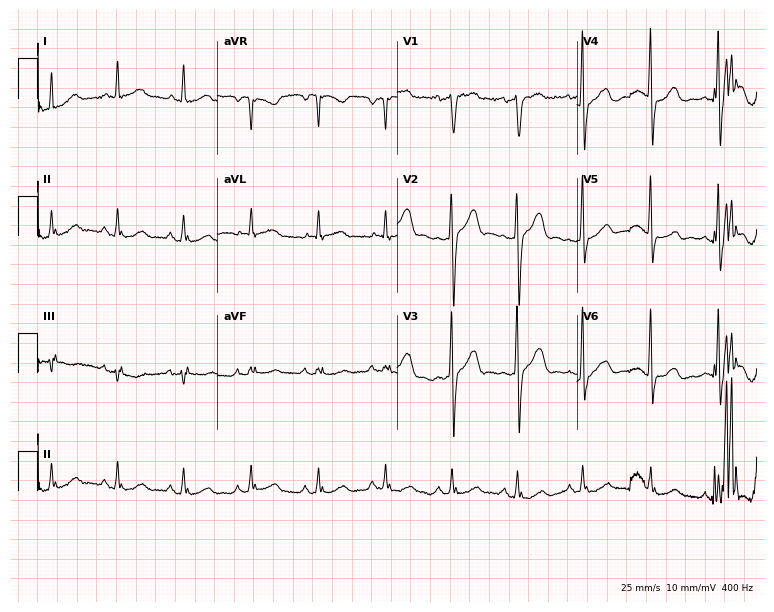
Standard 12-lead ECG recorded from a male, 68 years old. None of these six findings is recorded: first-degree AV block, right bundle branch block, left bundle branch block, sinus bradycardia, atrial fibrillation, sinus tachycardia. Other findings, if any, are not listed.